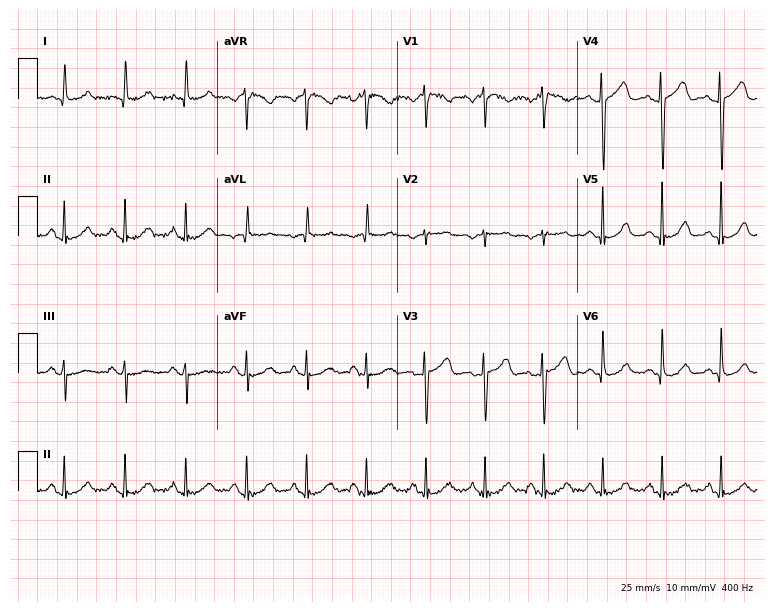
Standard 12-lead ECG recorded from a female patient, 49 years old. Read as a normal ECG.